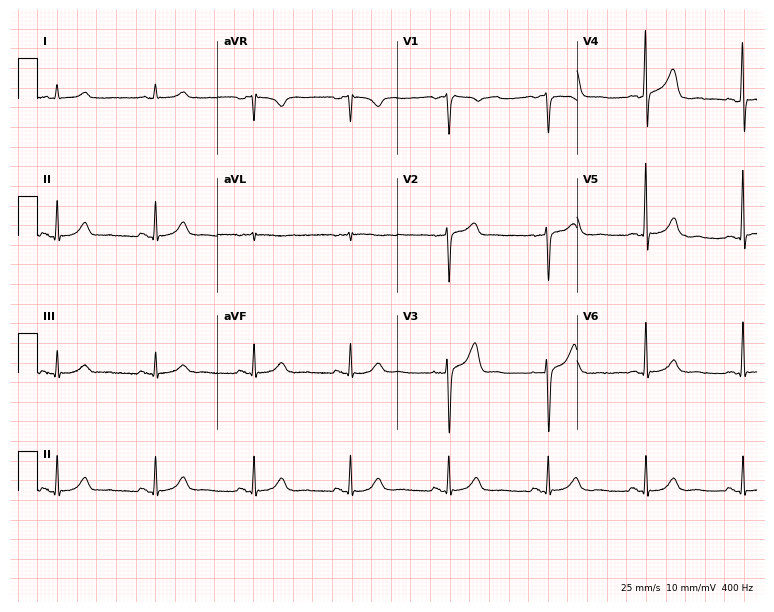
Resting 12-lead electrocardiogram. Patient: a 67-year-old male. Read as a normal ECG.